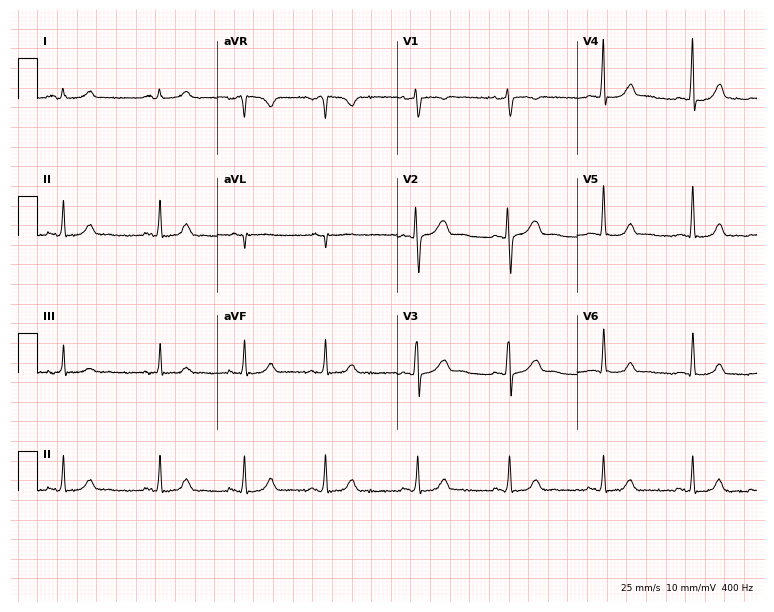
Resting 12-lead electrocardiogram (7.3-second recording at 400 Hz). Patient: a female, 23 years old. None of these six findings is recorded: first-degree AV block, right bundle branch block, left bundle branch block, sinus bradycardia, atrial fibrillation, sinus tachycardia.